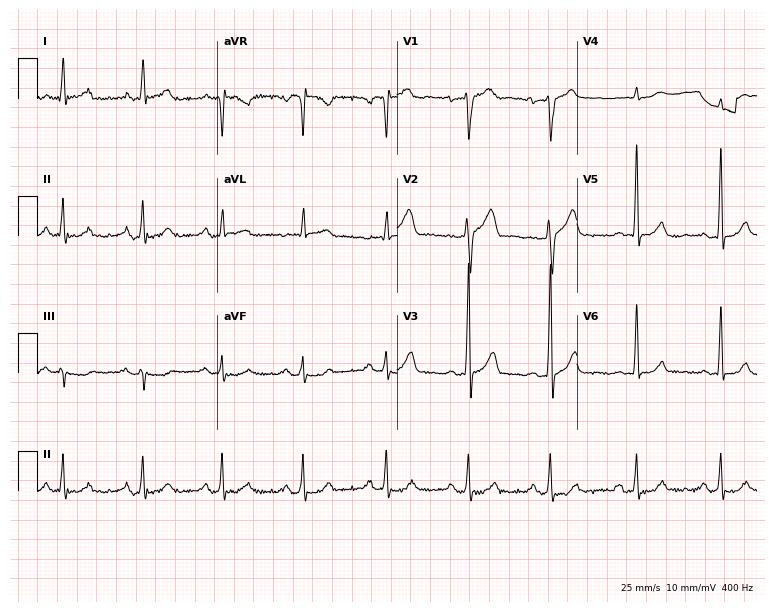
12-lead ECG from a man, 50 years old. Labelled as a normal ECG.